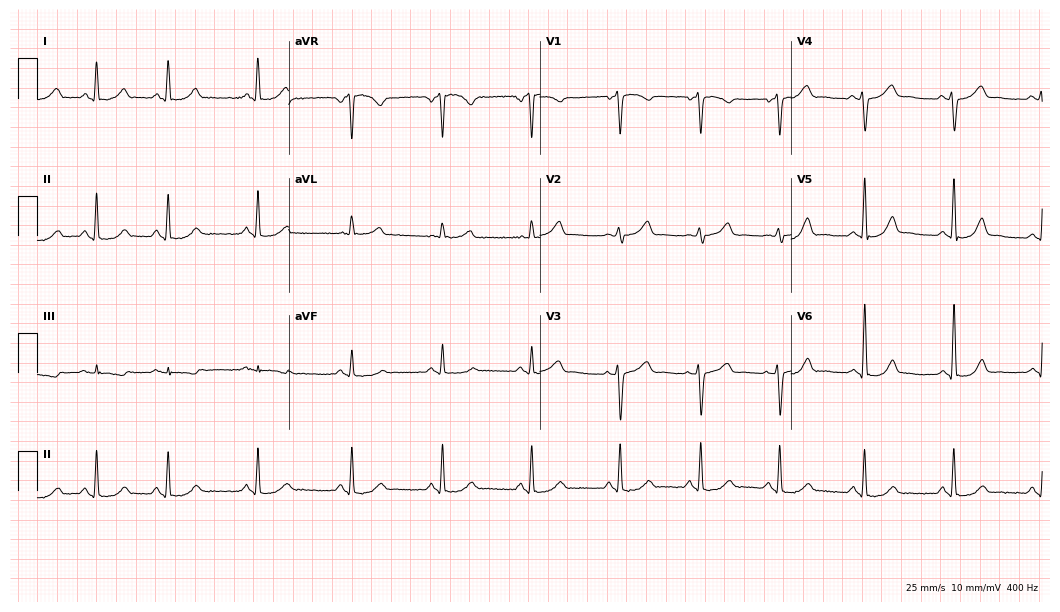
Standard 12-lead ECG recorded from a woman, 39 years old (10.2-second recording at 400 Hz). None of these six findings is recorded: first-degree AV block, right bundle branch block (RBBB), left bundle branch block (LBBB), sinus bradycardia, atrial fibrillation (AF), sinus tachycardia. Other findings, if any, are not listed.